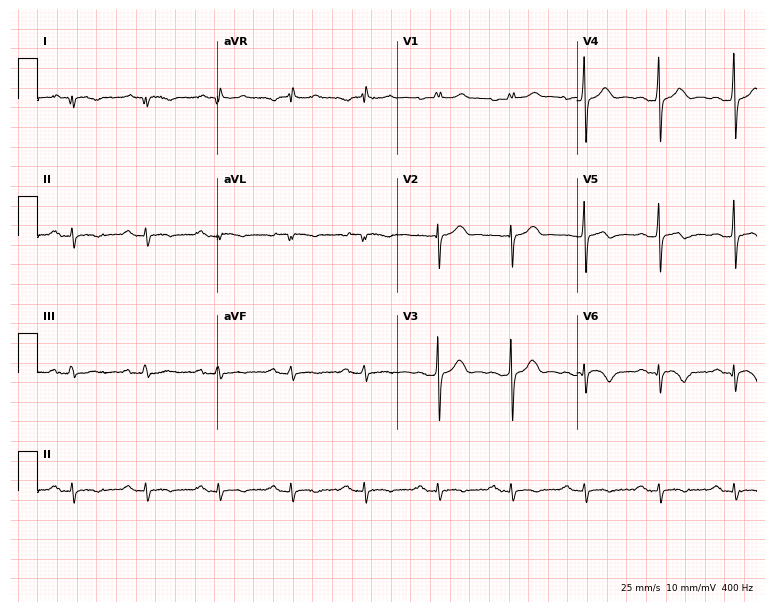
Electrocardiogram (7.3-second recording at 400 Hz), a 77-year-old male. Of the six screened findings (first-degree AV block, right bundle branch block, left bundle branch block, sinus bradycardia, atrial fibrillation, sinus tachycardia), none is recorded. Only these six findings were labelled.